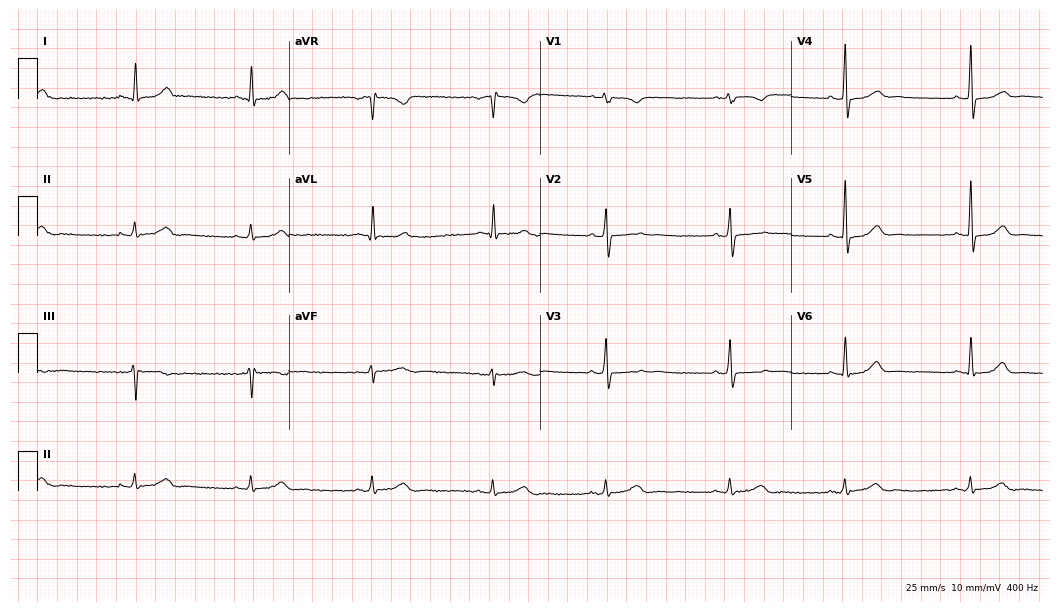
Electrocardiogram (10.2-second recording at 400 Hz), a female patient, 38 years old. Overall reading on record: normal ECG.